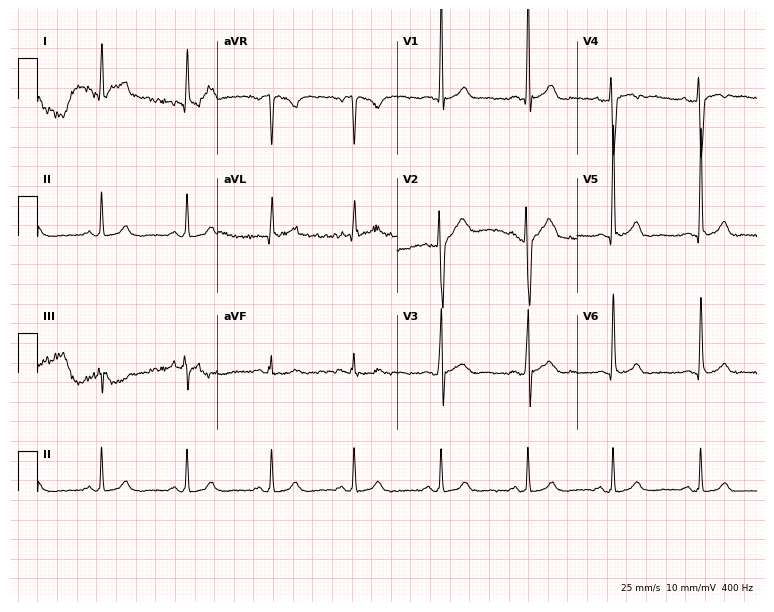
Standard 12-lead ECG recorded from a 47-year-old male (7.3-second recording at 400 Hz). None of these six findings is recorded: first-degree AV block, right bundle branch block (RBBB), left bundle branch block (LBBB), sinus bradycardia, atrial fibrillation (AF), sinus tachycardia.